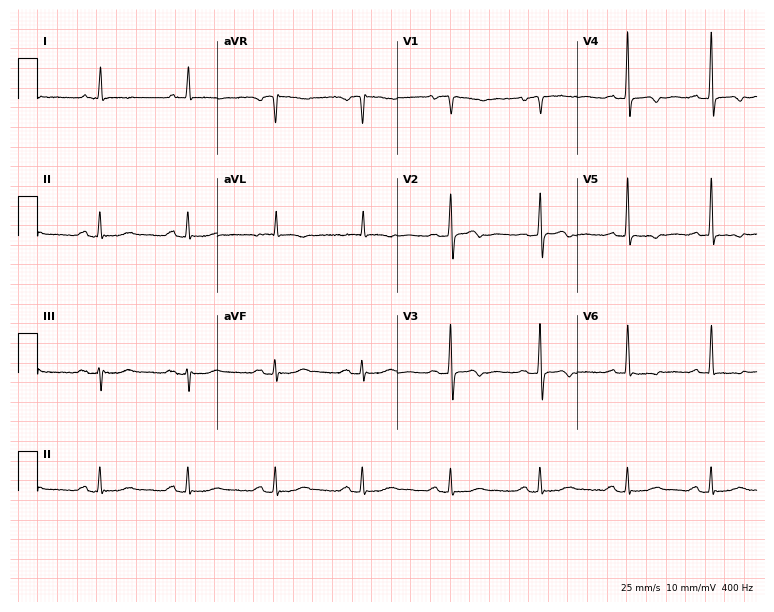
12-lead ECG from a 68-year-old woman (7.3-second recording at 400 Hz). No first-degree AV block, right bundle branch block, left bundle branch block, sinus bradycardia, atrial fibrillation or sinus tachycardia recorded for this tracing. Only these six findings were labelled.